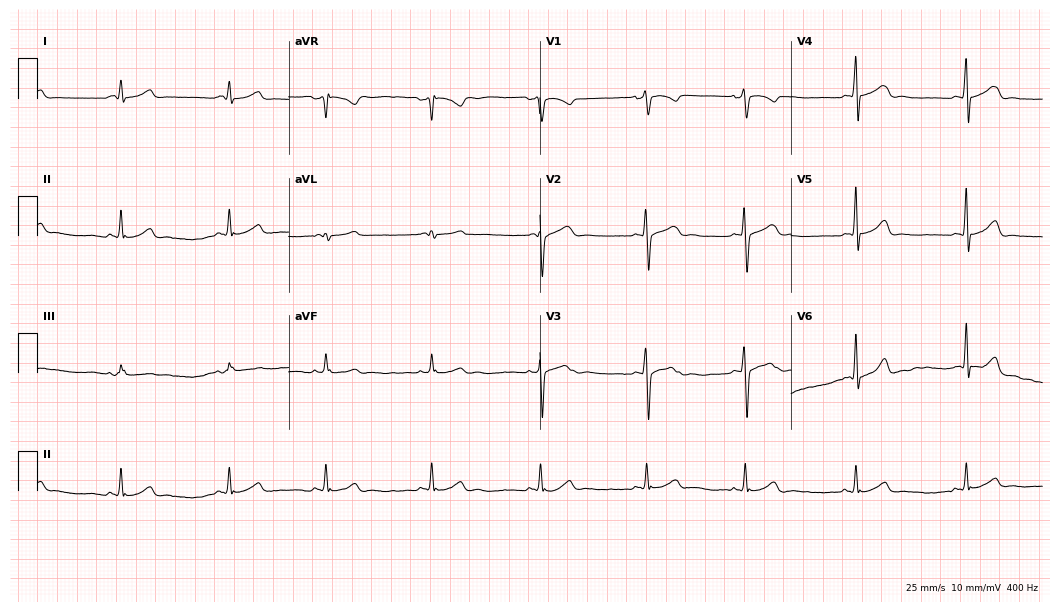
12-lead ECG (10.2-second recording at 400 Hz) from a woman, 27 years old. Screened for six findings — first-degree AV block, right bundle branch block, left bundle branch block, sinus bradycardia, atrial fibrillation, sinus tachycardia — none is recorded.